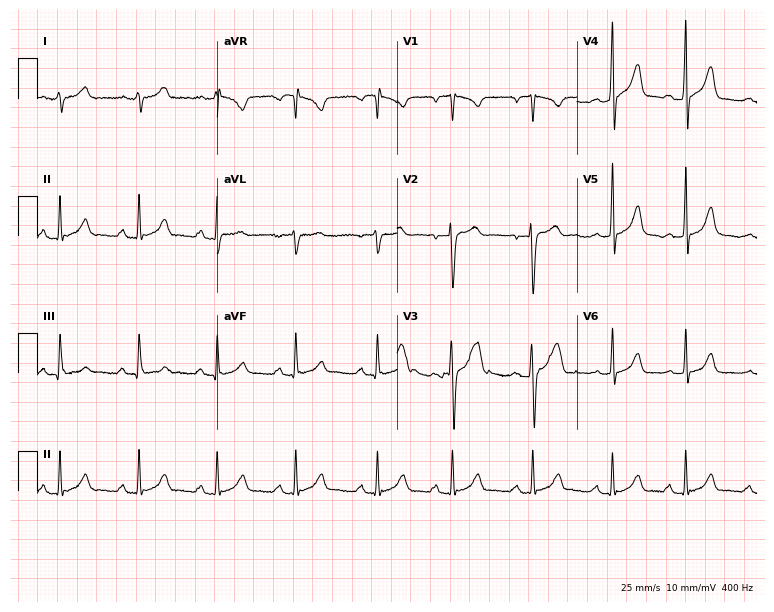
Standard 12-lead ECG recorded from a 17-year-old man. Read as a normal ECG.